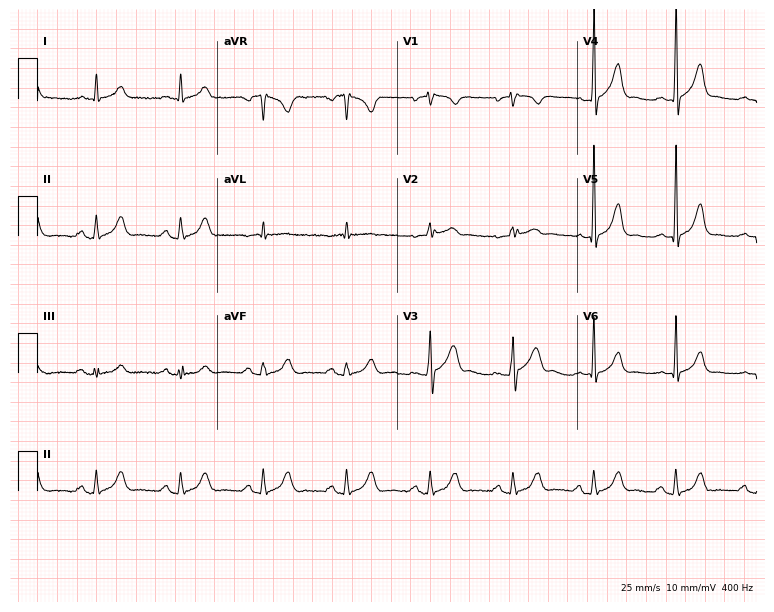
Resting 12-lead electrocardiogram. Patient: a 78-year-old man. None of these six findings is recorded: first-degree AV block, right bundle branch block, left bundle branch block, sinus bradycardia, atrial fibrillation, sinus tachycardia.